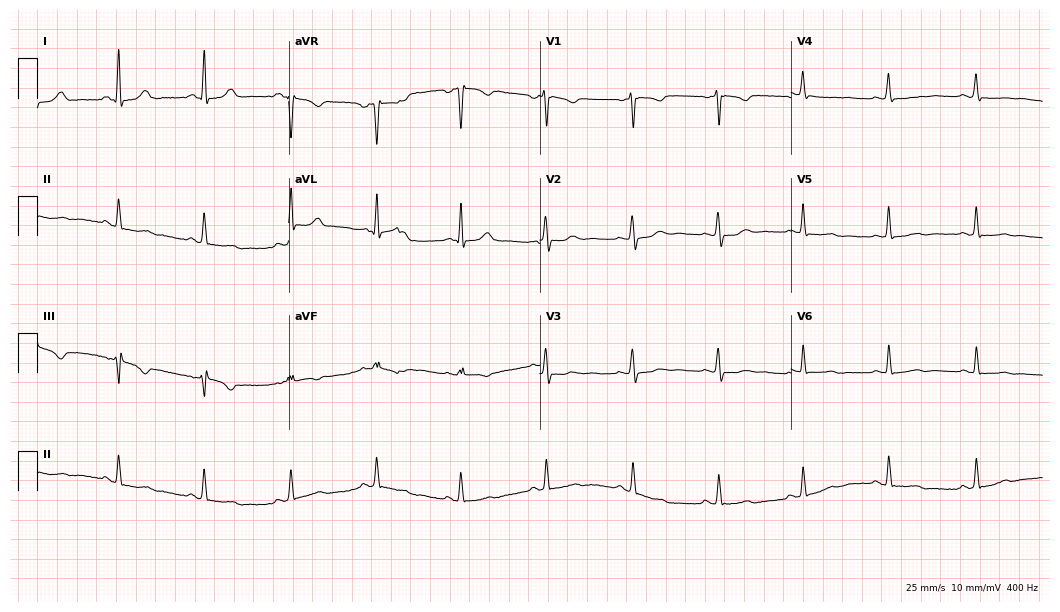
12-lead ECG from a female, 37 years old. Screened for six findings — first-degree AV block, right bundle branch block (RBBB), left bundle branch block (LBBB), sinus bradycardia, atrial fibrillation (AF), sinus tachycardia — none is recorded.